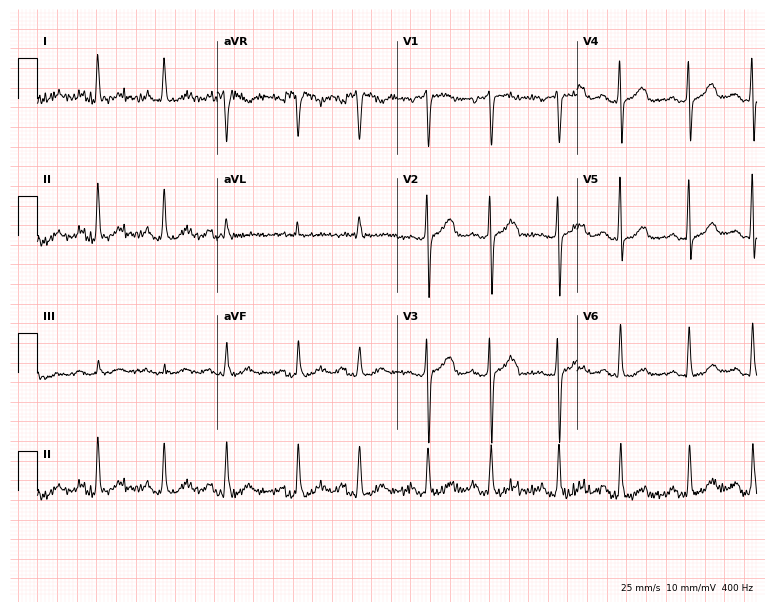
12-lead ECG from a 74-year-old female. No first-degree AV block, right bundle branch block (RBBB), left bundle branch block (LBBB), sinus bradycardia, atrial fibrillation (AF) or sinus tachycardia recorded for this tracing.